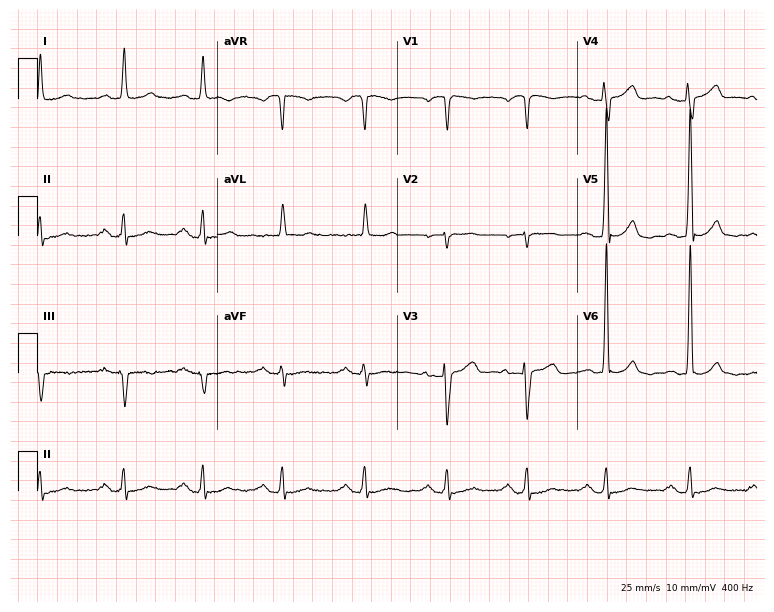
12-lead ECG from a man, 65 years old. Screened for six findings — first-degree AV block, right bundle branch block, left bundle branch block, sinus bradycardia, atrial fibrillation, sinus tachycardia — none is recorded. Findings outside these six are not listed.